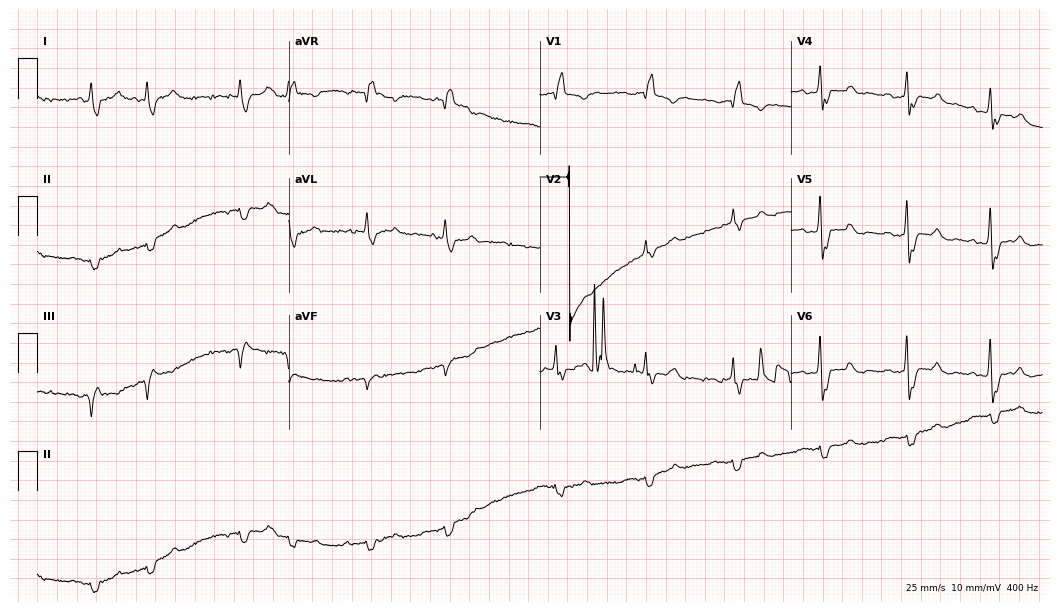
12-lead ECG from a male patient, 77 years old. Shows right bundle branch block, atrial fibrillation.